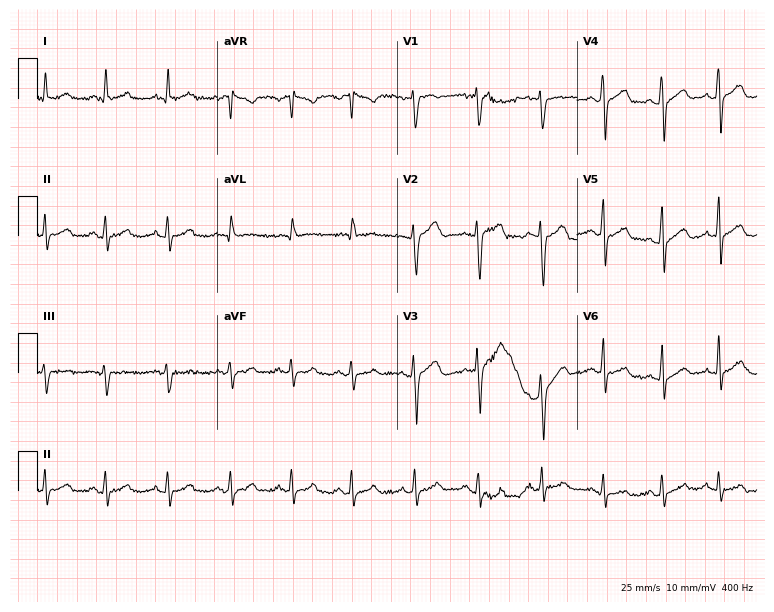
Electrocardiogram, a 47-year-old male patient. Overall reading on record: normal ECG.